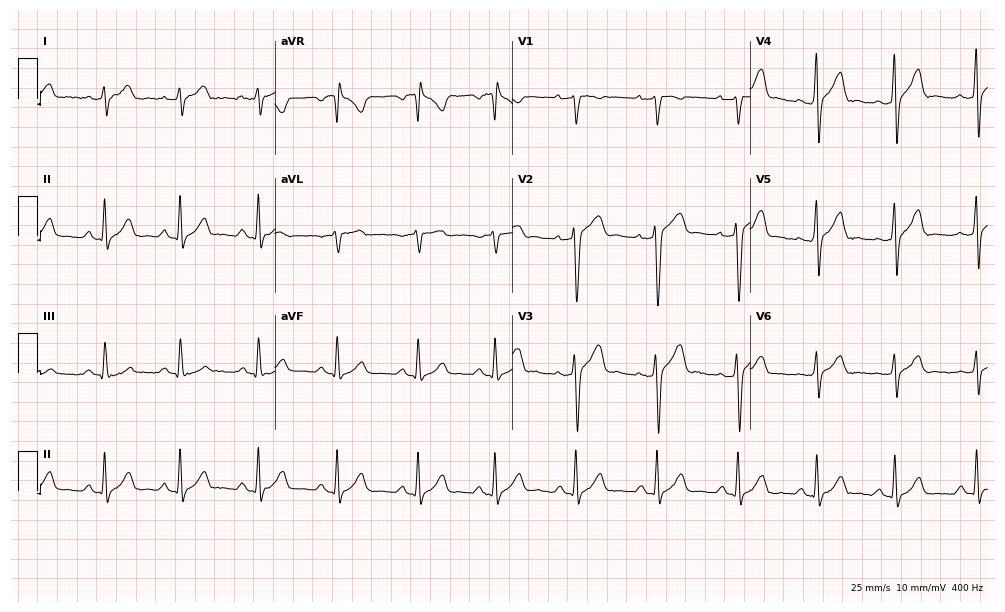
Electrocardiogram (9.7-second recording at 400 Hz), a 20-year-old man. Of the six screened findings (first-degree AV block, right bundle branch block, left bundle branch block, sinus bradycardia, atrial fibrillation, sinus tachycardia), none is recorded.